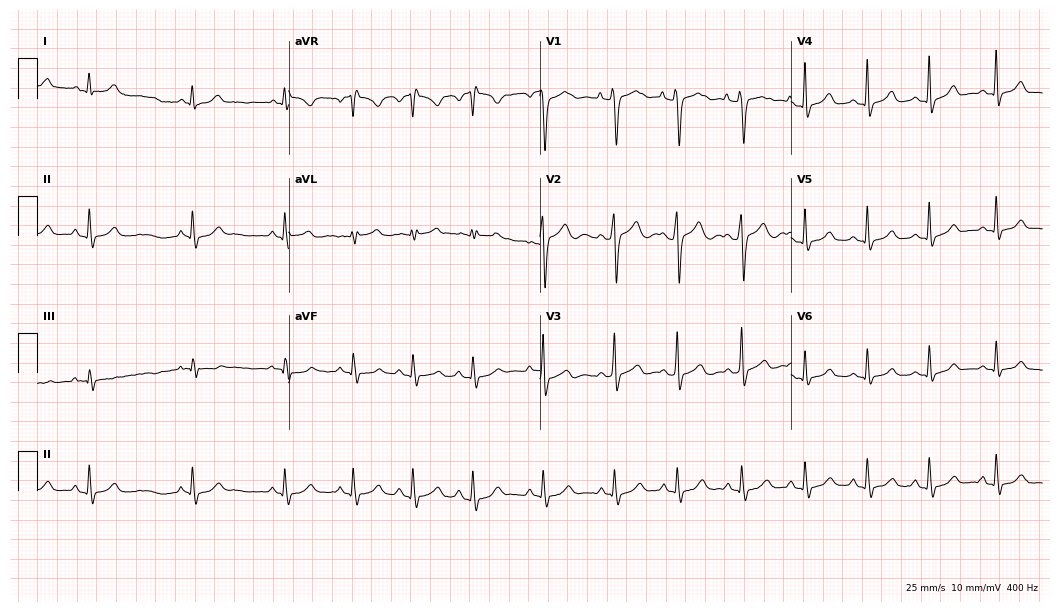
ECG — an 18-year-old man. Screened for six findings — first-degree AV block, right bundle branch block, left bundle branch block, sinus bradycardia, atrial fibrillation, sinus tachycardia — none is recorded.